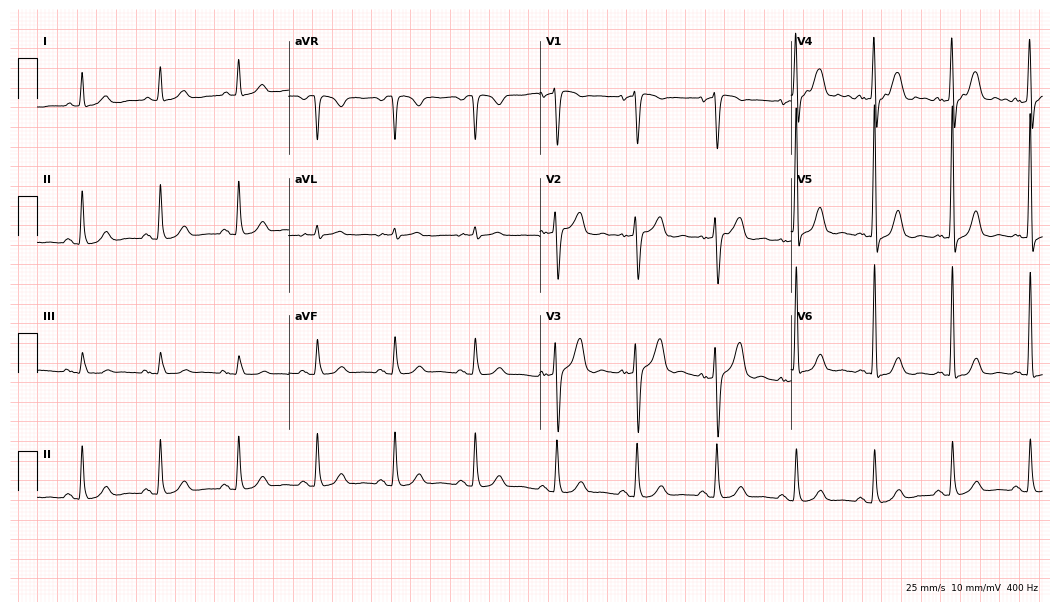
ECG — a 73-year-old female. Screened for six findings — first-degree AV block, right bundle branch block, left bundle branch block, sinus bradycardia, atrial fibrillation, sinus tachycardia — none is recorded. Other findings, if any, are not listed.